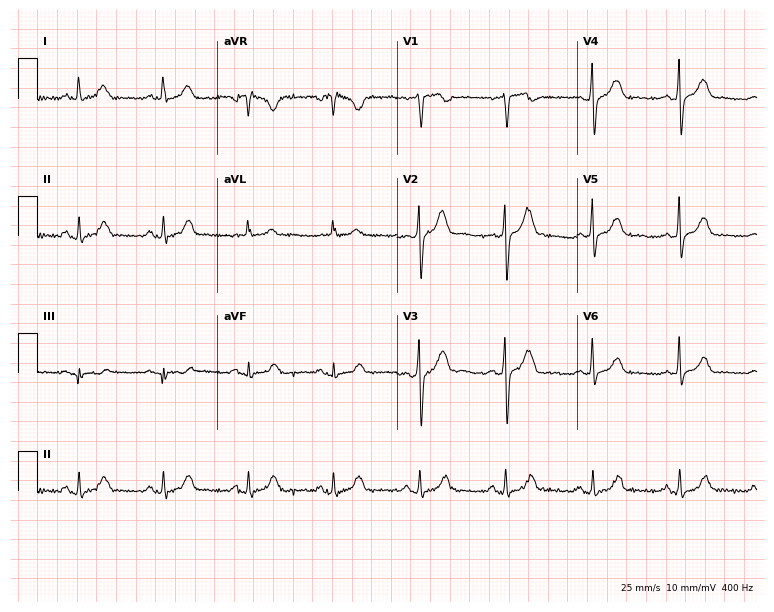
12-lead ECG from a male, 53 years old. Recorded interpretation: within normal limits.